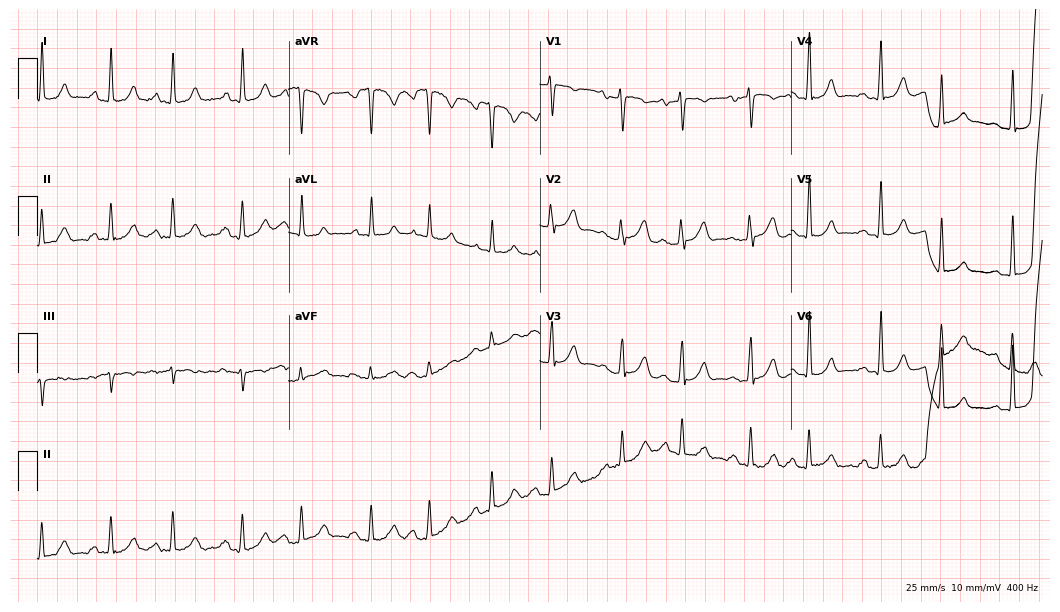
Standard 12-lead ECG recorded from a 43-year-old female. None of these six findings is recorded: first-degree AV block, right bundle branch block (RBBB), left bundle branch block (LBBB), sinus bradycardia, atrial fibrillation (AF), sinus tachycardia. Only these six findings were labelled.